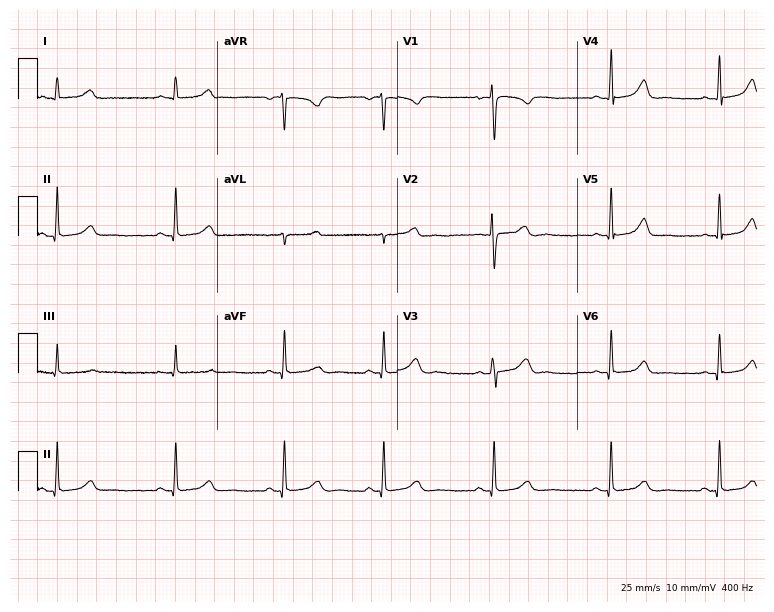
Standard 12-lead ECG recorded from a female, 37 years old. Read as a normal ECG.